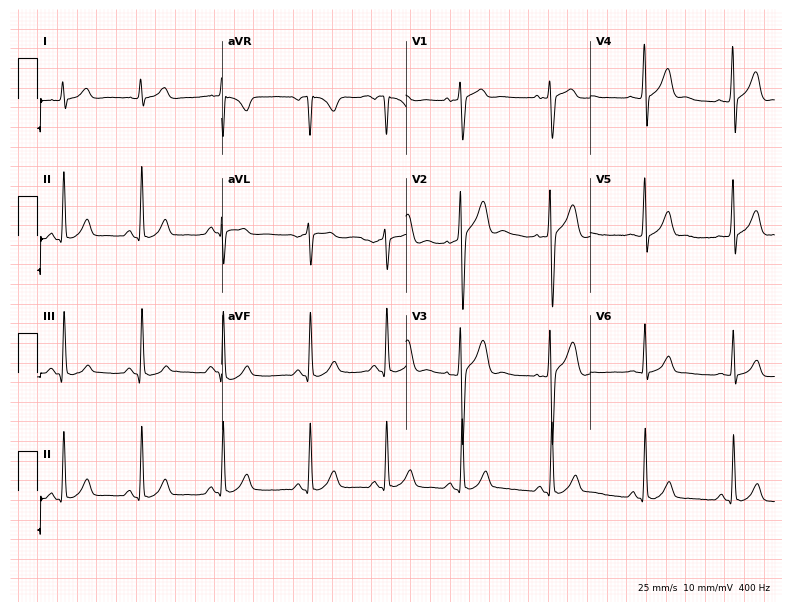
Electrocardiogram, a male, 18 years old. Of the six screened findings (first-degree AV block, right bundle branch block, left bundle branch block, sinus bradycardia, atrial fibrillation, sinus tachycardia), none is recorded.